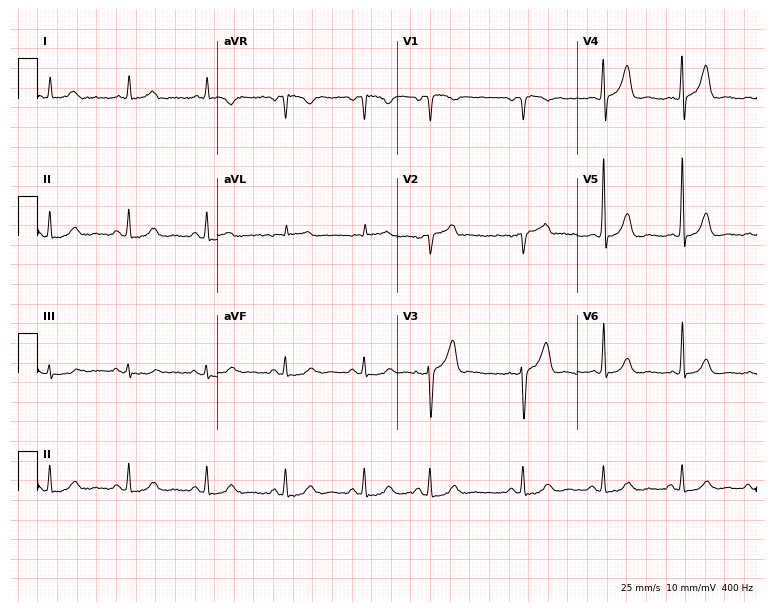
12-lead ECG from a 67-year-old man (7.3-second recording at 400 Hz). No first-degree AV block, right bundle branch block (RBBB), left bundle branch block (LBBB), sinus bradycardia, atrial fibrillation (AF) or sinus tachycardia recorded for this tracing. Findings outside these six are not listed.